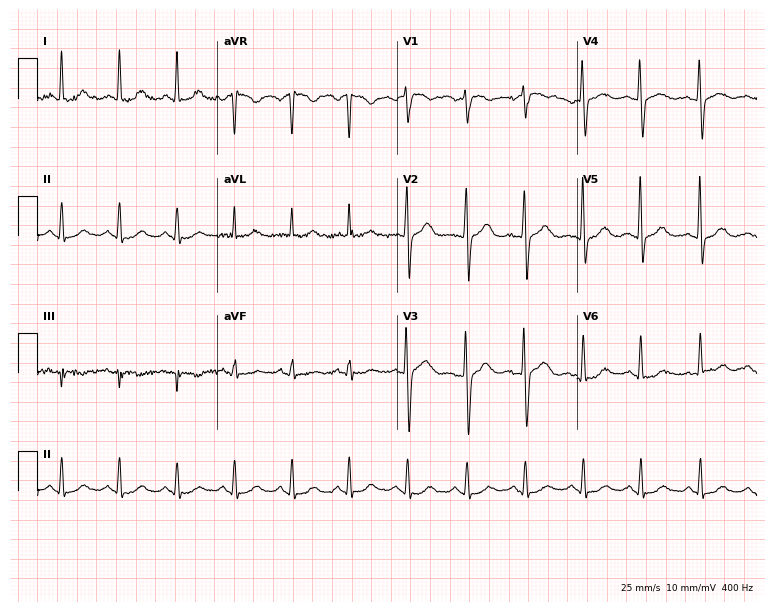
Resting 12-lead electrocardiogram (7.3-second recording at 400 Hz). Patient: a 75-year-old woman. The tracing shows sinus tachycardia (a sinus rate of 100 beats per minute or more).